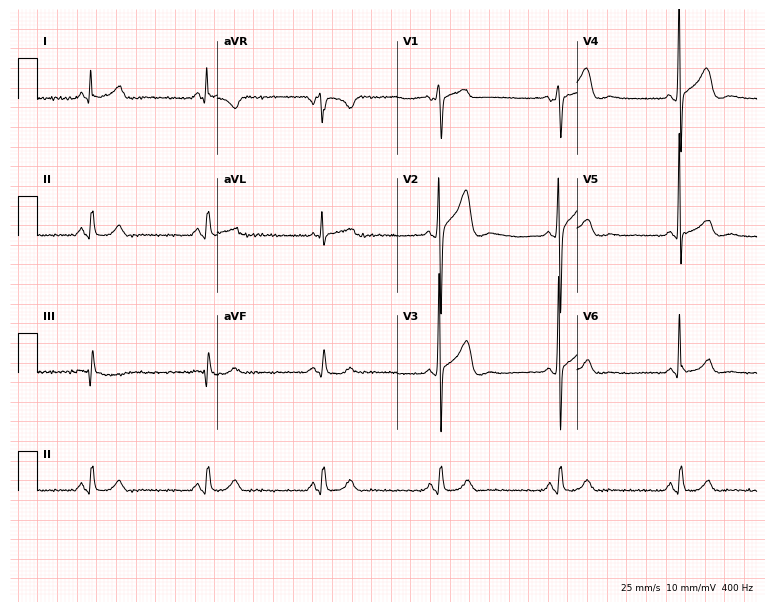
Standard 12-lead ECG recorded from a male patient, 63 years old (7.3-second recording at 400 Hz). The tracing shows sinus bradycardia (a sinus rate of 50 beats per minute or less).